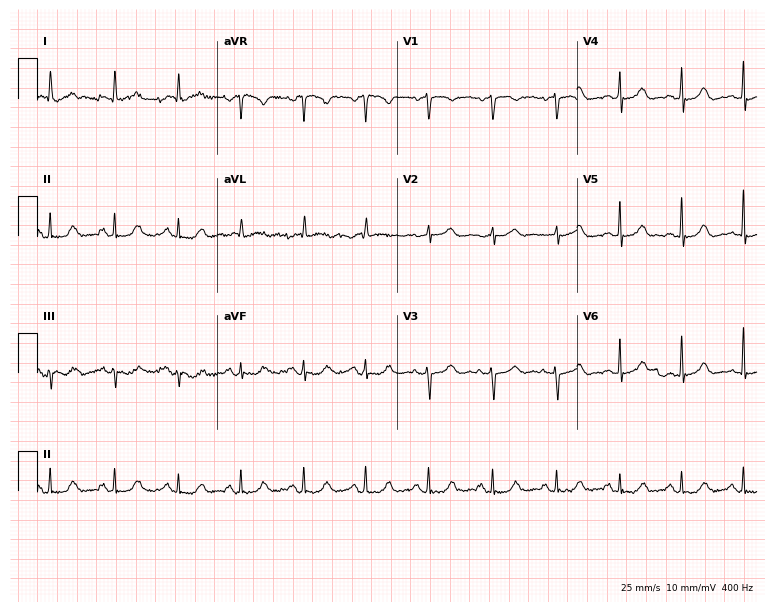
12-lead ECG from an 80-year-old woman. Labelled as a normal ECG.